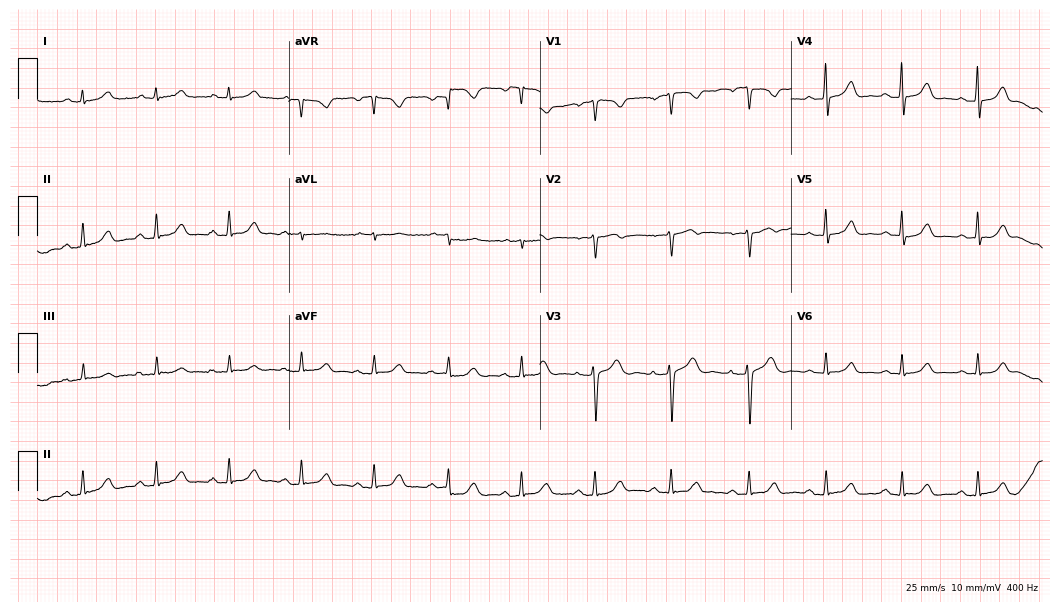
ECG (10.2-second recording at 400 Hz) — a 32-year-old female. Labelled as a normal ECG.